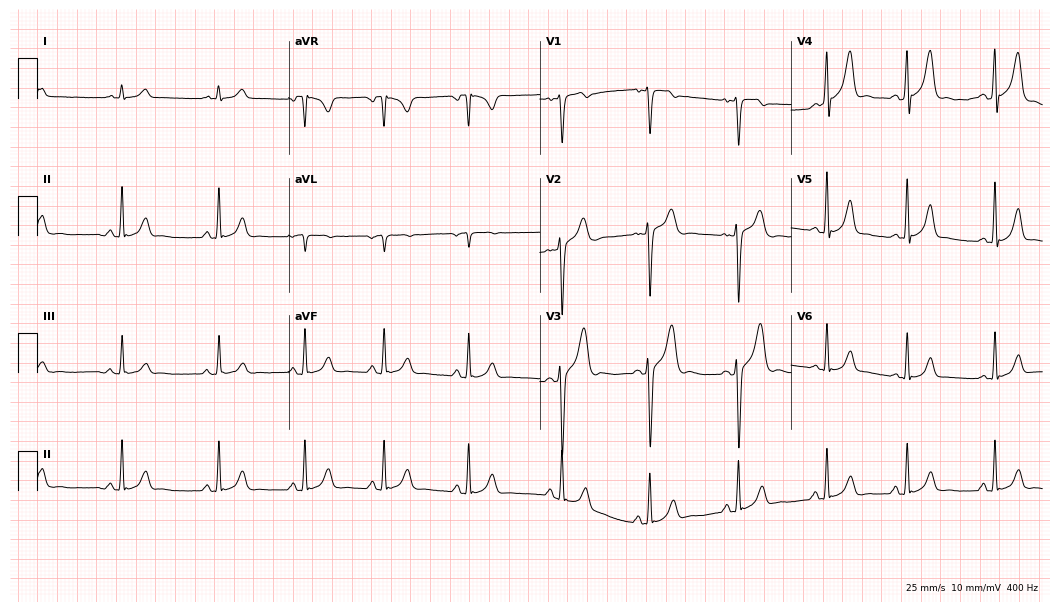
ECG (10.2-second recording at 400 Hz) — a male patient, 18 years old. Labelled as a normal ECG.